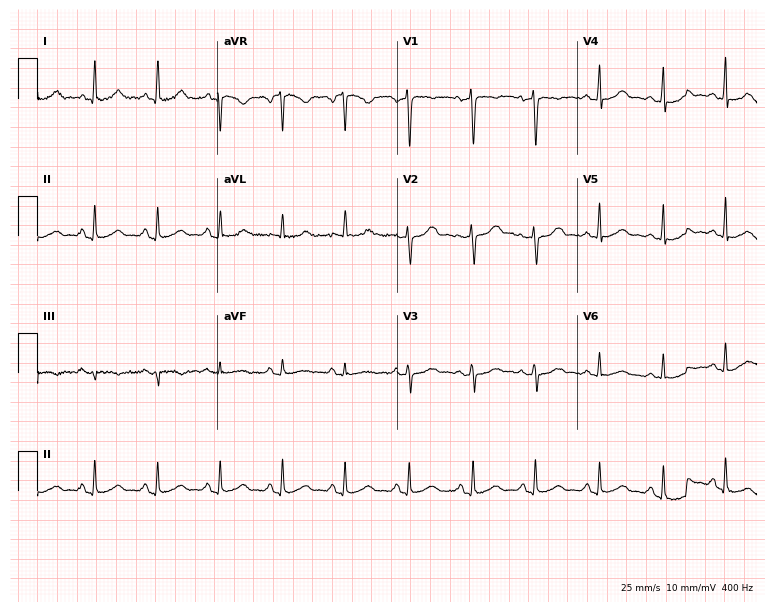
Electrocardiogram, a 60-year-old female. Overall reading on record: normal ECG.